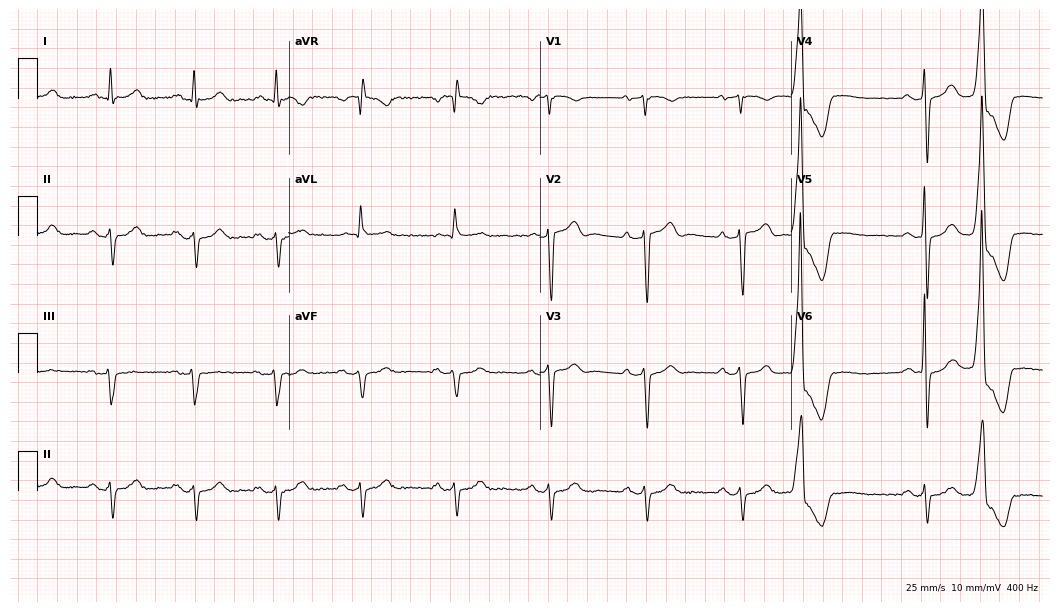
ECG — a male, 66 years old. Screened for six findings — first-degree AV block, right bundle branch block (RBBB), left bundle branch block (LBBB), sinus bradycardia, atrial fibrillation (AF), sinus tachycardia — none is recorded.